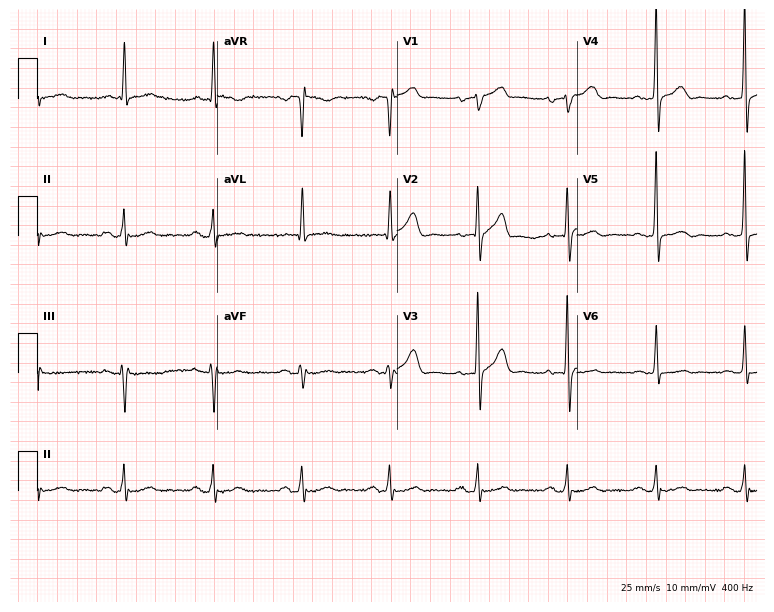
12-lead ECG from a 76-year-old female patient (7.3-second recording at 400 Hz). Recorded interpretation: within normal limits.